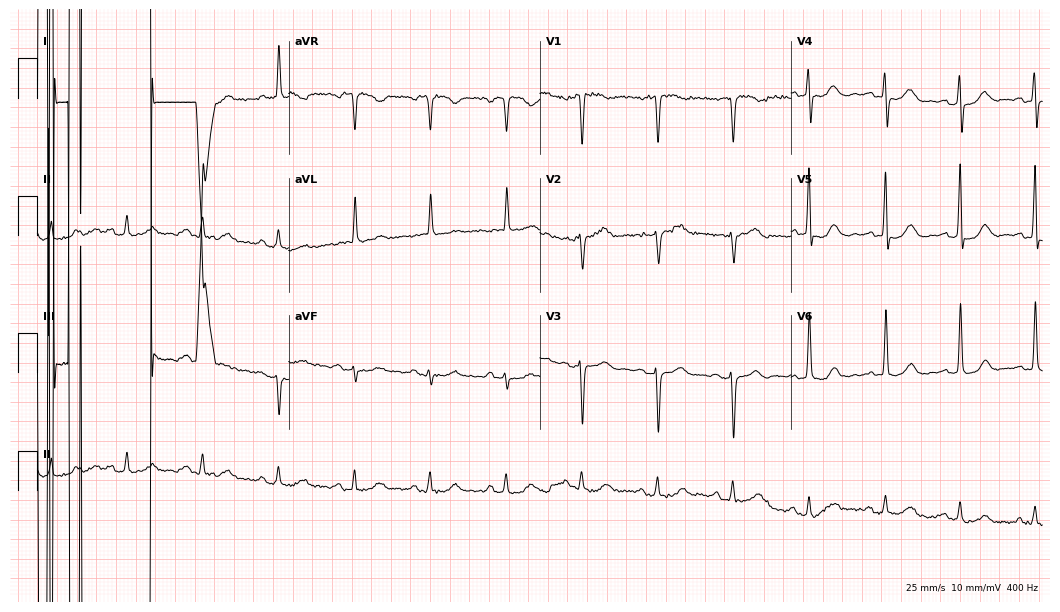
Resting 12-lead electrocardiogram. Patient: a 77-year-old woman. None of these six findings is recorded: first-degree AV block, right bundle branch block, left bundle branch block, sinus bradycardia, atrial fibrillation, sinus tachycardia. Other findings, if any, are not listed.